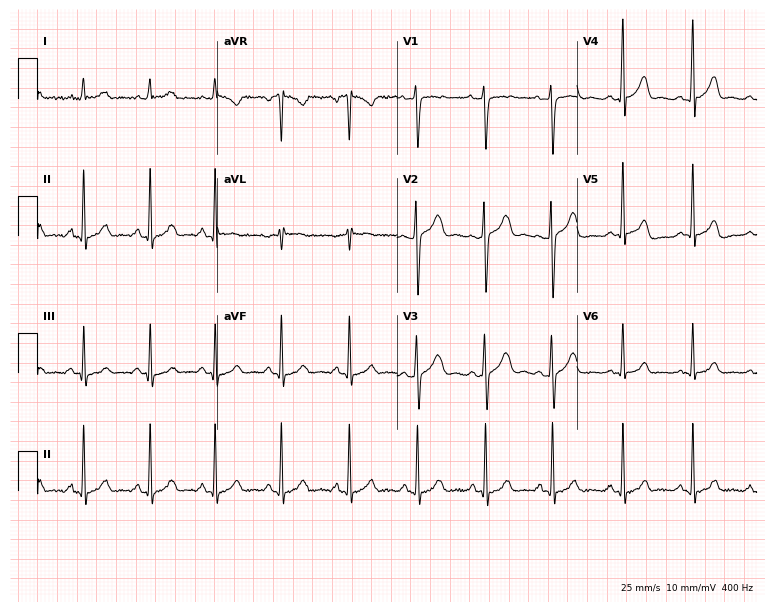
Electrocardiogram, a female, 24 years old. Overall reading on record: normal ECG.